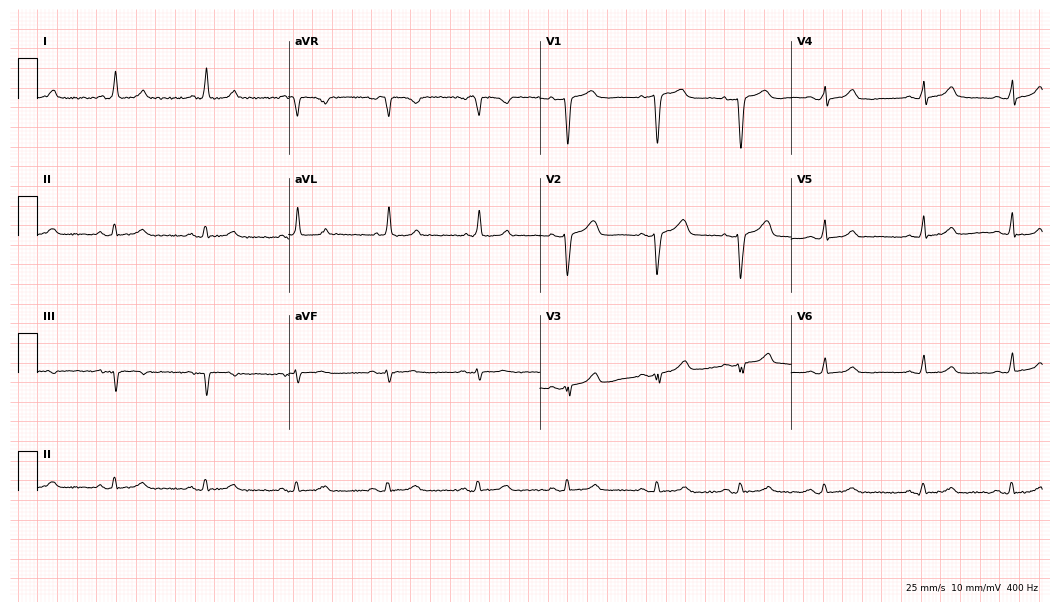
12-lead ECG from a female patient, 81 years old. No first-degree AV block, right bundle branch block, left bundle branch block, sinus bradycardia, atrial fibrillation or sinus tachycardia recorded for this tracing.